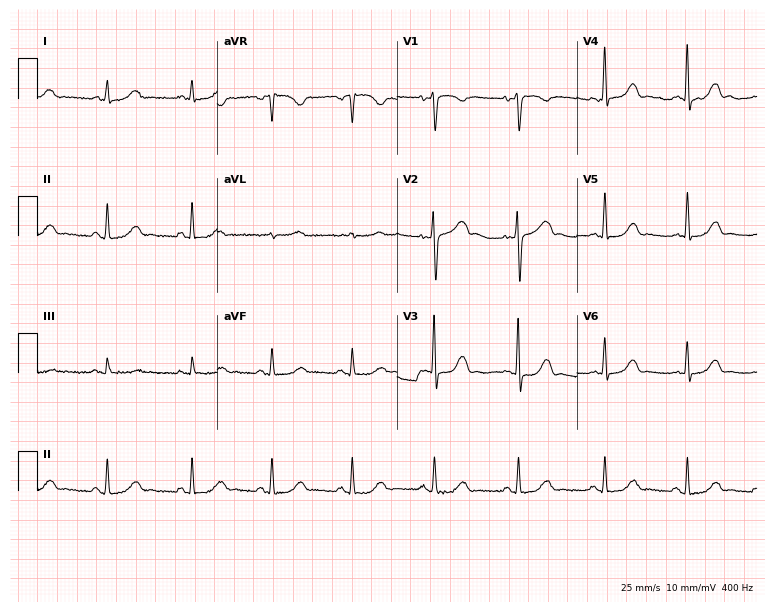
Standard 12-lead ECG recorded from a 46-year-old female. None of these six findings is recorded: first-degree AV block, right bundle branch block (RBBB), left bundle branch block (LBBB), sinus bradycardia, atrial fibrillation (AF), sinus tachycardia.